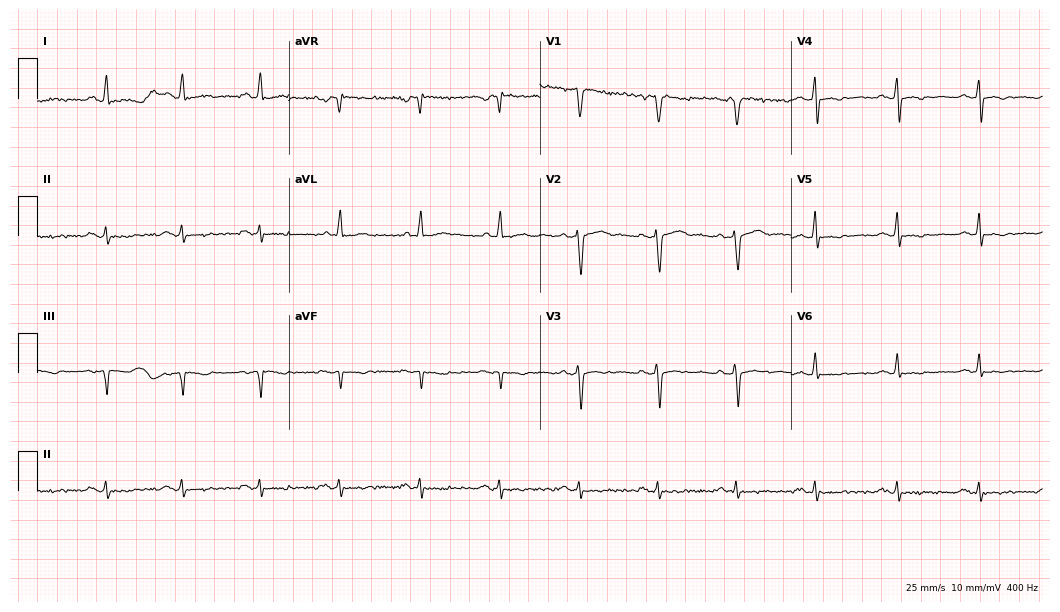
Resting 12-lead electrocardiogram. Patient: a male, 53 years old. None of these six findings is recorded: first-degree AV block, right bundle branch block, left bundle branch block, sinus bradycardia, atrial fibrillation, sinus tachycardia.